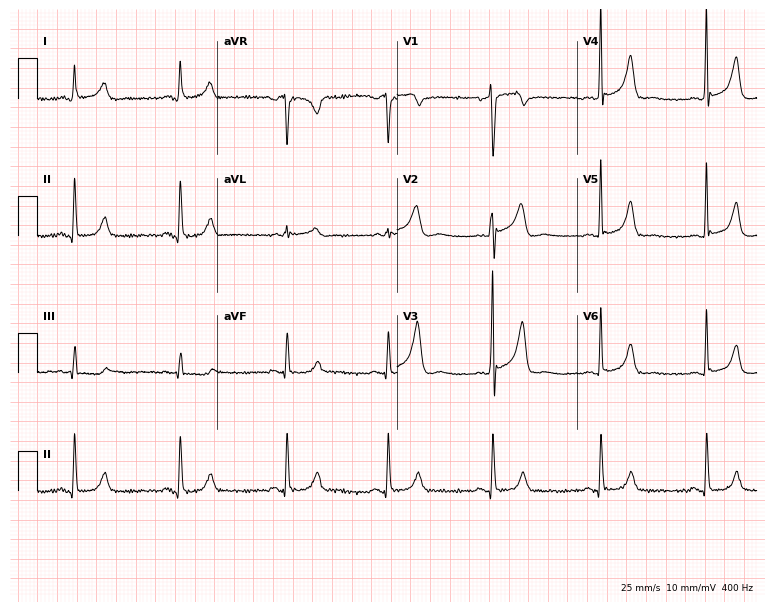
Resting 12-lead electrocardiogram (7.3-second recording at 400 Hz). Patient: a male, 54 years old. None of these six findings is recorded: first-degree AV block, right bundle branch block, left bundle branch block, sinus bradycardia, atrial fibrillation, sinus tachycardia.